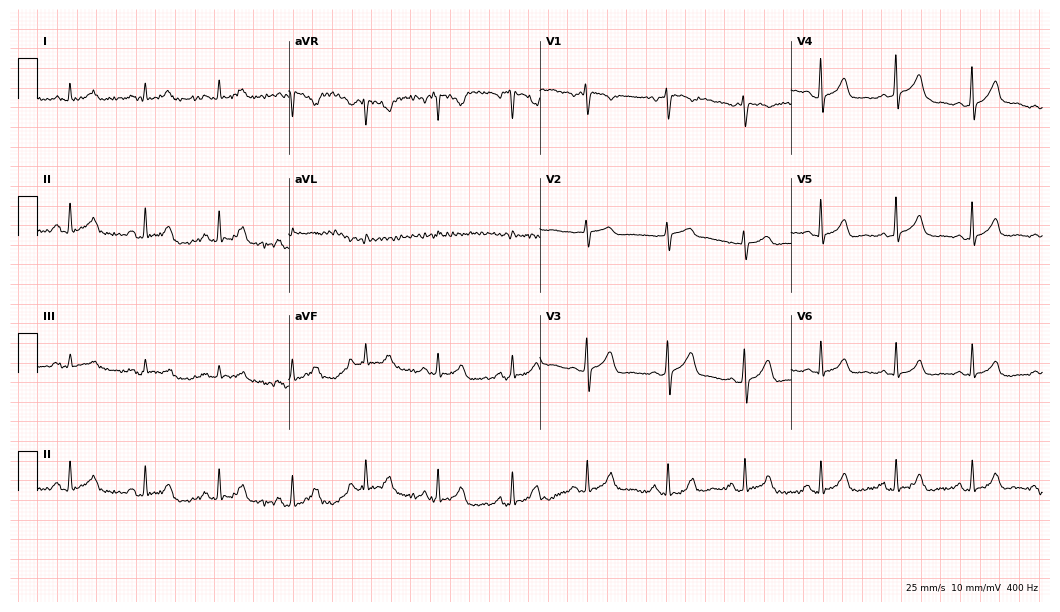
Resting 12-lead electrocardiogram. Patient: a 27-year-old female. None of these six findings is recorded: first-degree AV block, right bundle branch block, left bundle branch block, sinus bradycardia, atrial fibrillation, sinus tachycardia. Findings outside these six are not listed.